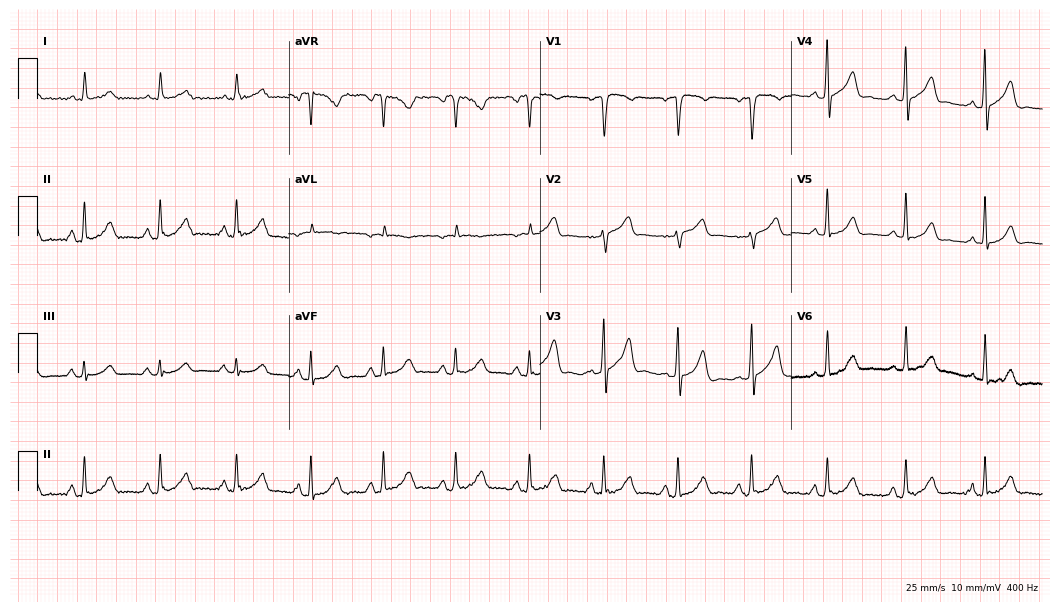
12-lead ECG from a 62-year-old man (10.2-second recording at 400 Hz). Recorded interpretation: within normal limits.